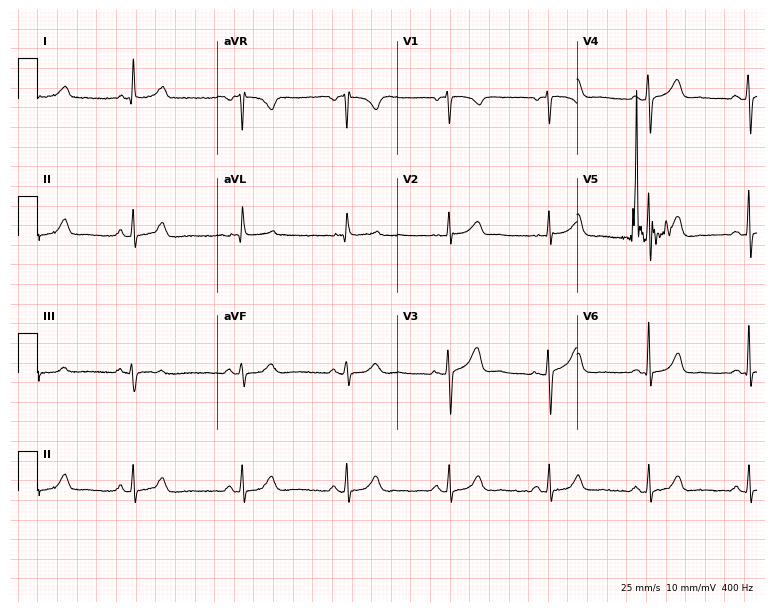
12-lead ECG from a female, 67 years old. Recorded interpretation: within normal limits.